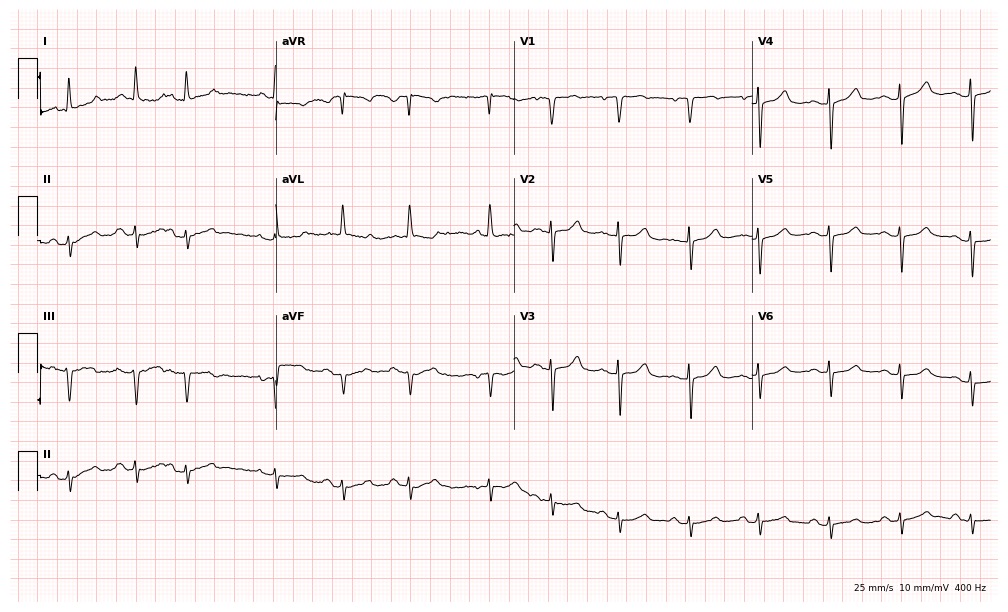
ECG (9.7-second recording at 400 Hz) — a 76-year-old female patient. Screened for six findings — first-degree AV block, right bundle branch block, left bundle branch block, sinus bradycardia, atrial fibrillation, sinus tachycardia — none is recorded.